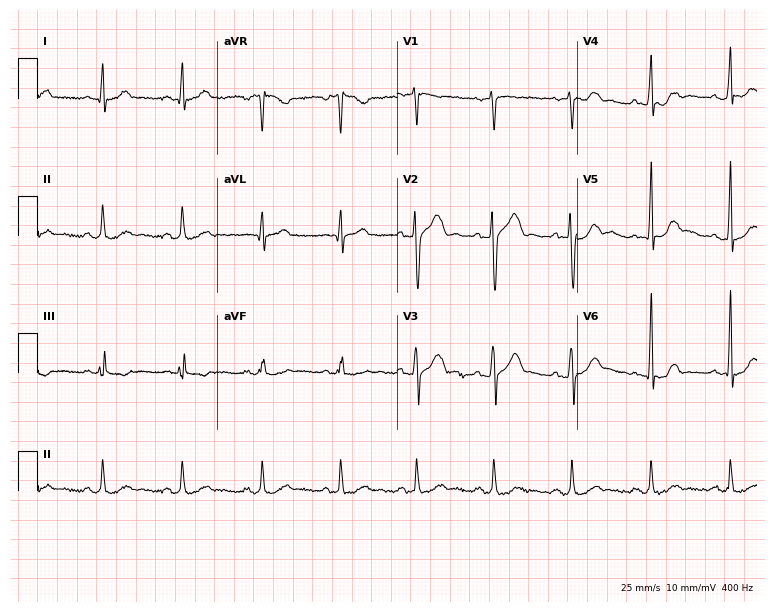
Standard 12-lead ECG recorded from a male patient, 44 years old. Read as a normal ECG.